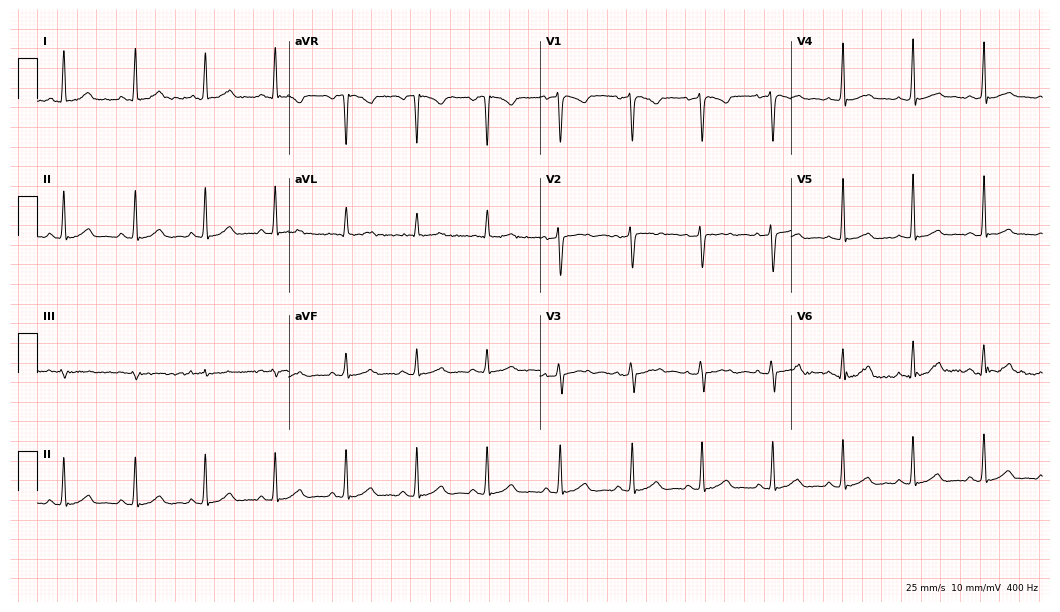
ECG (10.2-second recording at 400 Hz) — a female patient, 31 years old. Labelled as a normal ECG.